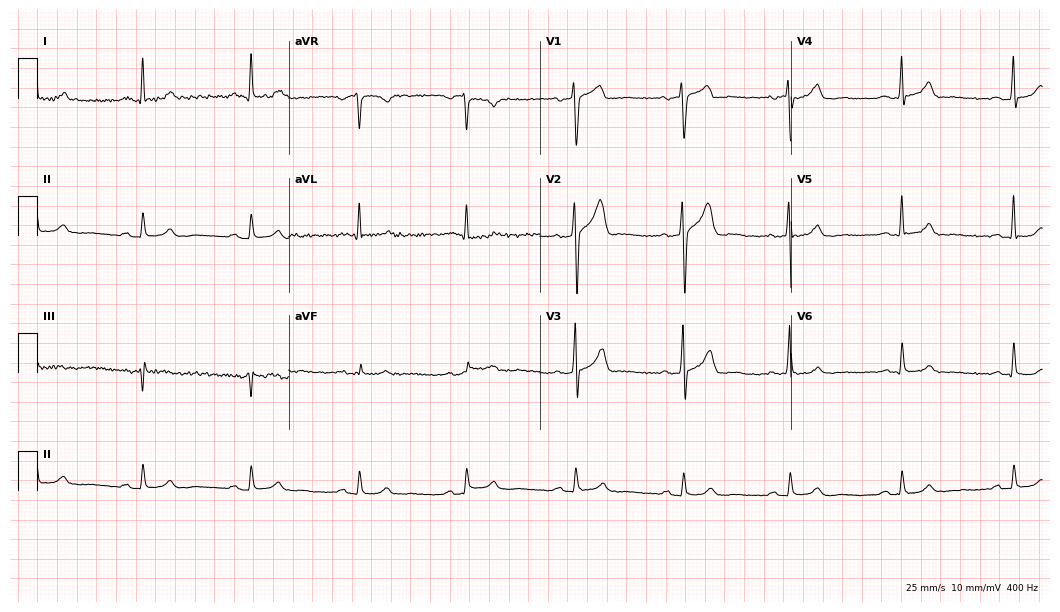
12-lead ECG (10.2-second recording at 400 Hz) from a 64-year-old male. Labelled as a normal ECG.